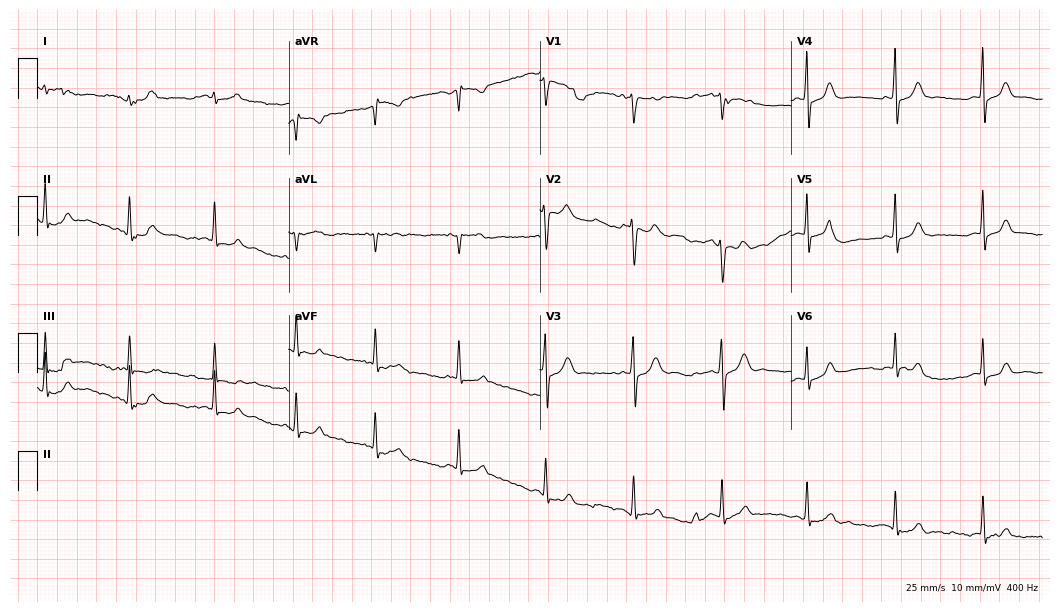
Electrocardiogram, a 27-year-old woman. Overall reading on record: normal ECG.